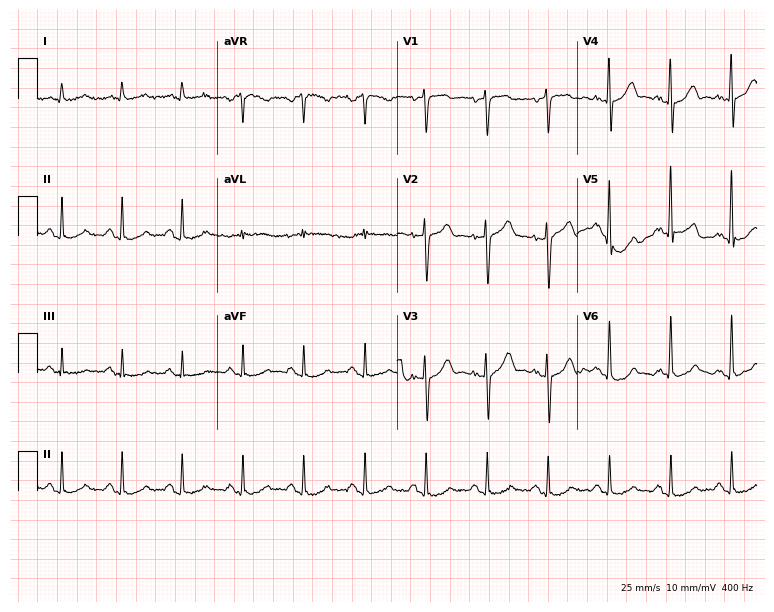
Standard 12-lead ECG recorded from a man, 72 years old. Read as a normal ECG.